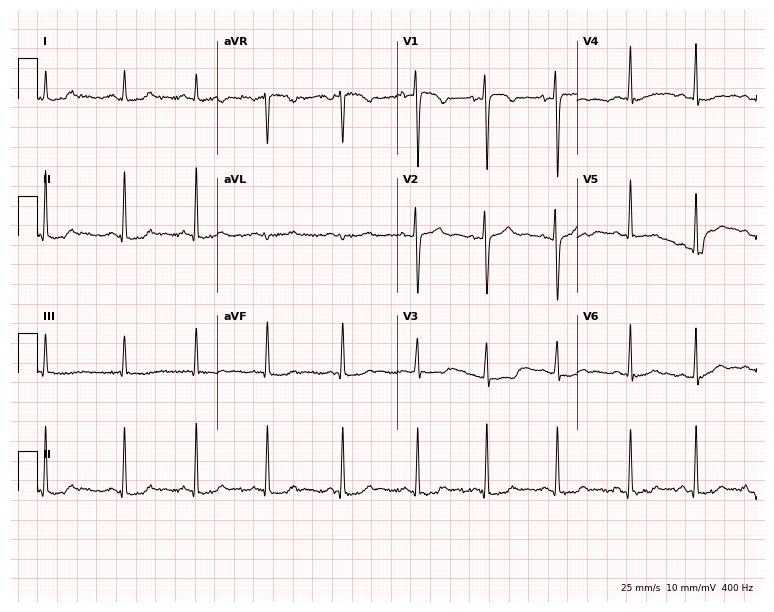
Resting 12-lead electrocardiogram. Patient: a female, 17 years old. None of these six findings is recorded: first-degree AV block, right bundle branch block, left bundle branch block, sinus bradycardia, atrial fibrillation, sinus tachycardia.